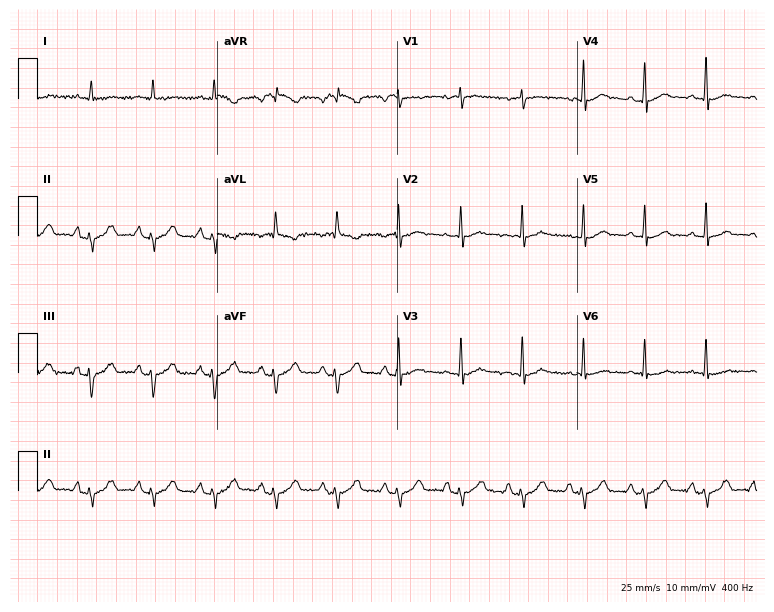
Electrocardiogram, an 85-year-old male patient. Of the six screened findings (first-degree AV block, right bundle branch block, left bundle branch block, sinus bradycardia, atrial fibrillation, sinus tachycardia), none is recorded. Other findings, if any, are not listed.